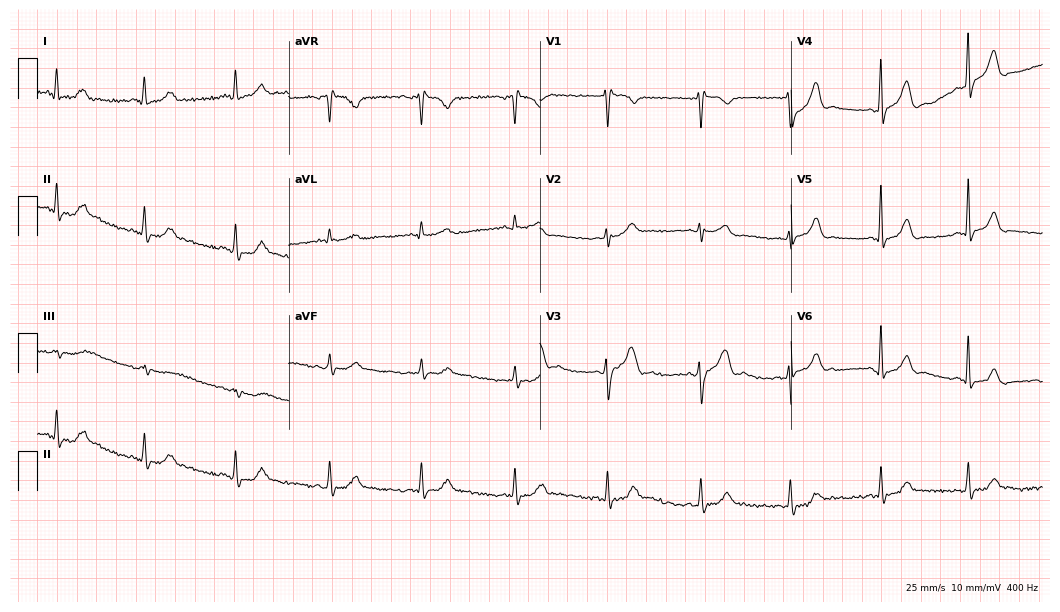
12-lead ECG (10.2-second recording at 400 Hz) from a 29-year-old male patient. Labelled as a normal ECG.